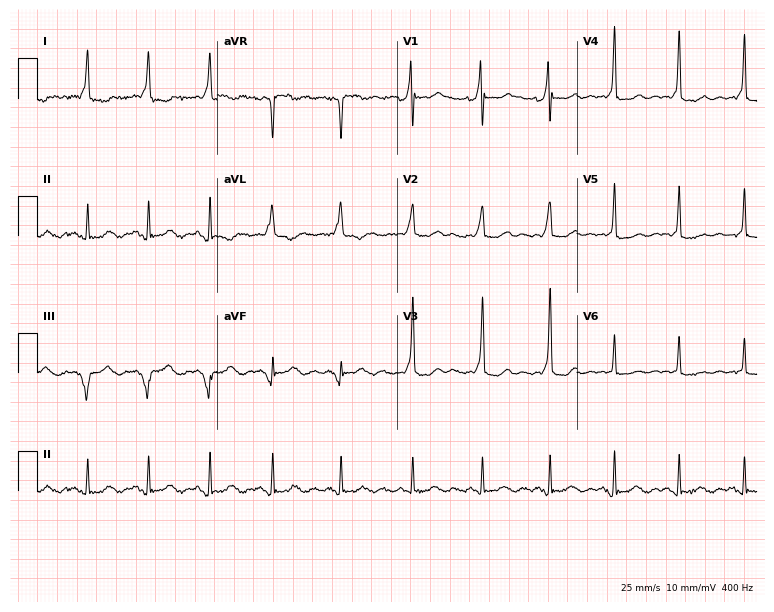
12-lead ECG from a 33-year-old female patient. No first-degree AV block, right bundle branch block, left bundle branch block, sinus bradycardia, atrial fibrillation or sinus tachycardia recorded for this tracing. Only these six findings were labelled.